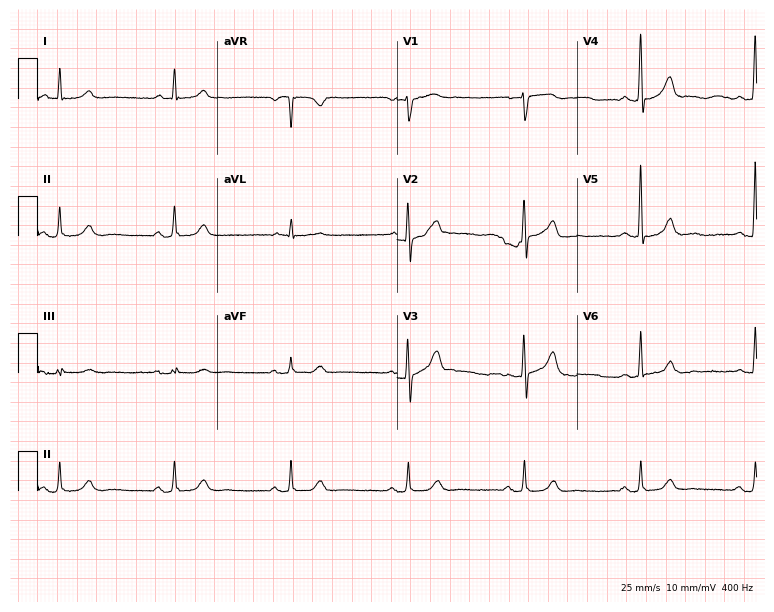
ECG — a 71-year-old male patient. Labelled as a normal ECG.